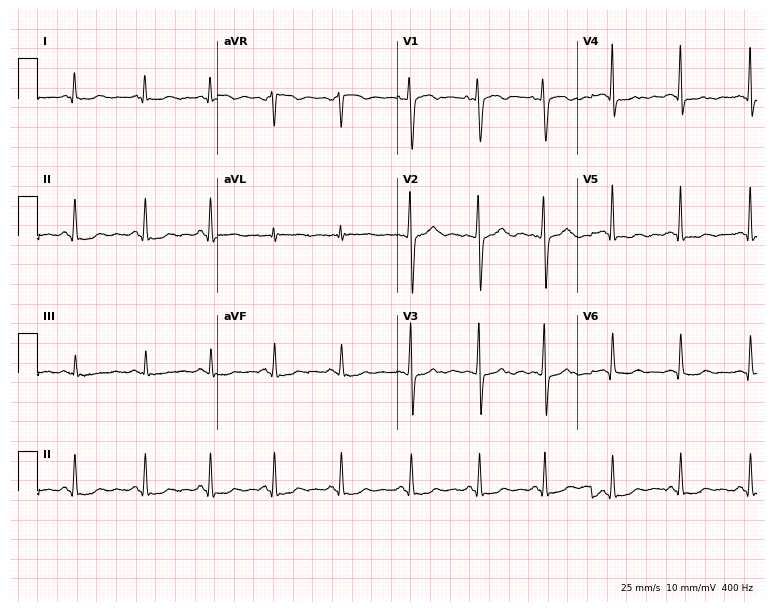
ECG — a 29-year-old female. Screened for six findings — first-degree AV block, right bundle branch block, left bundle branch block, sinus bradycardia, atrial fibrillation, sinus tachycardia — none is recorded. Other findings, if any, are not listed.